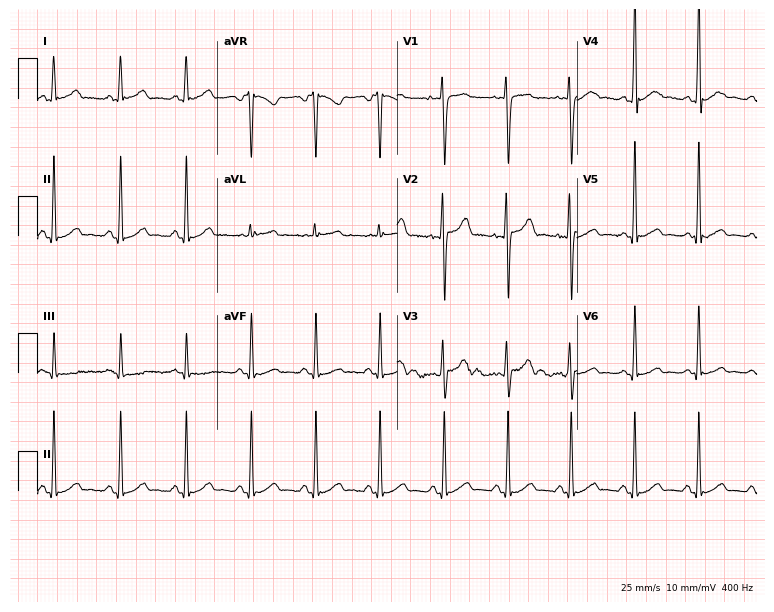
12-lead ECG from a male patient, 27 years old. Screened for six findings — first-degree AV block, right bundle branch block, left bundle branch block, sinus bradycardia, atrial fibrillation, sinus tachycardia — none is recorded. Other findings, if any, are not listed.